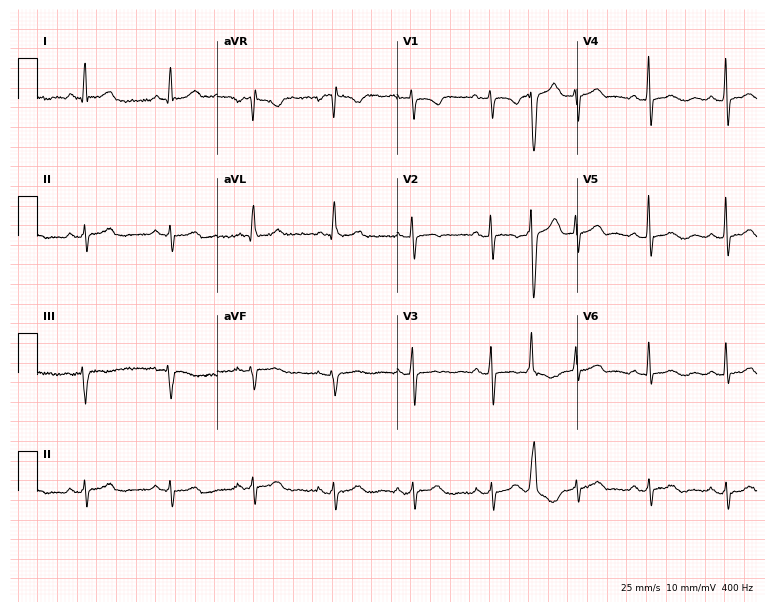
Standard 12-lead ECG recorded from a female patient, 62 years old. None of these six findings is recorded: first-degree AV block, right bundle branch block (RBBB), left bundle branch block (LBBB), sinus bradycardia, atrial fibrillation (AF), sinus tachycardia.